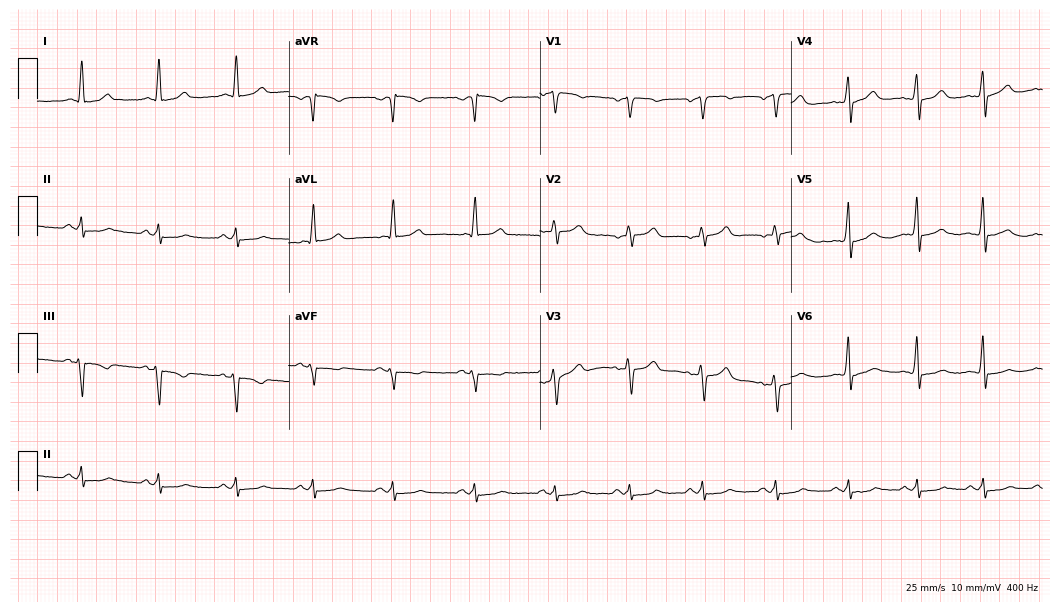
ECG — a 53-year-old man. Screened for six findings — first-degree AV block, right bundle branch block (RBBB), left bundle branch block (LBBB), sinus bradycardia, atrial fibrillation (AF), sinus tachycardia — none is recorded.